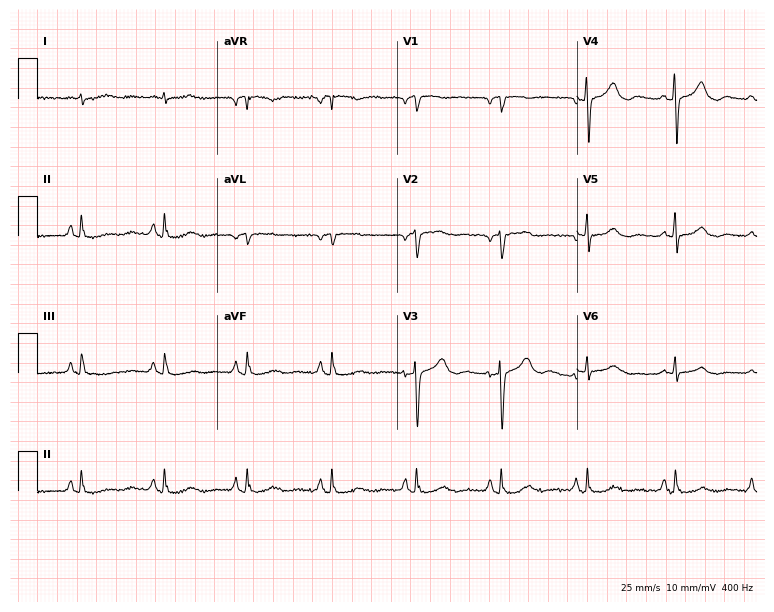
ECG — an 85-year-old male patient. Screened for six findings — first-degree AV block, right bundle branch block, left bundle branch block, sinus bradycardia, atrial fibrillation, sinus tachycardia — none is recorded.